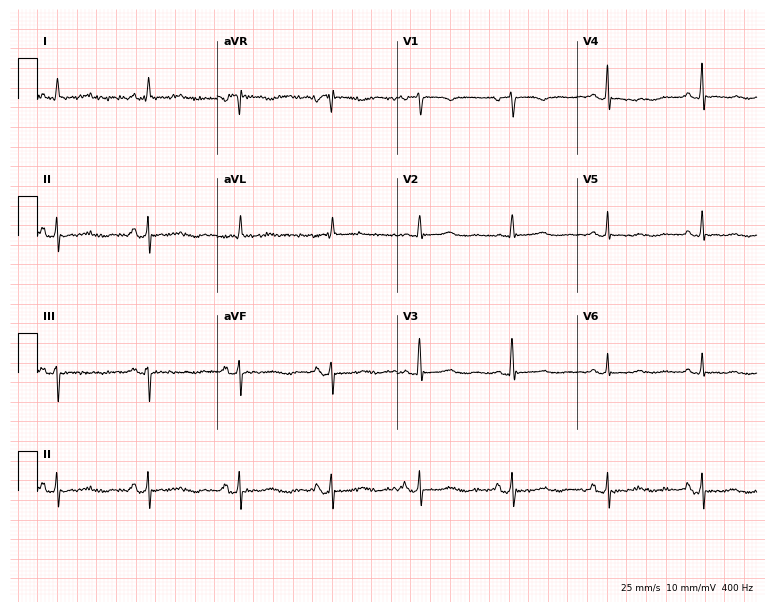
Resting 12-lead electrocardiogram. Patient: a woman, 56 years old. None of these six findings is recorded: first-degree AV block, right bundle branch block, left bundle branch block, sinus bradycardia, atrial fibrillation, sinus tachycardia. Findings outside these six are not listed.